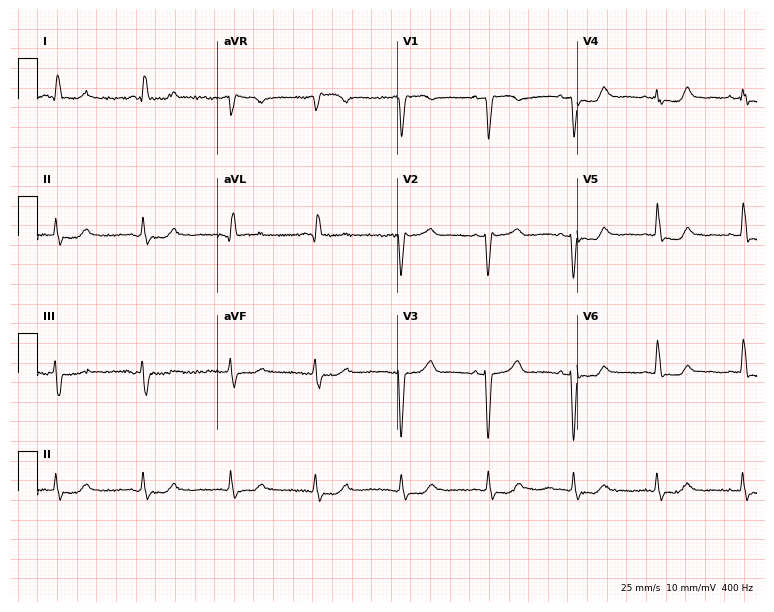
ECG (7.3-second recording at 400 Hz) — a 71-year-old female patient. Screened for six findings — first-degree AV block, right bundle branch block (RBBB), left bundle branch block (LBBB), sinus bradycardia, atrial fibrillation (AF), sinus tachycardia — none is recorded.